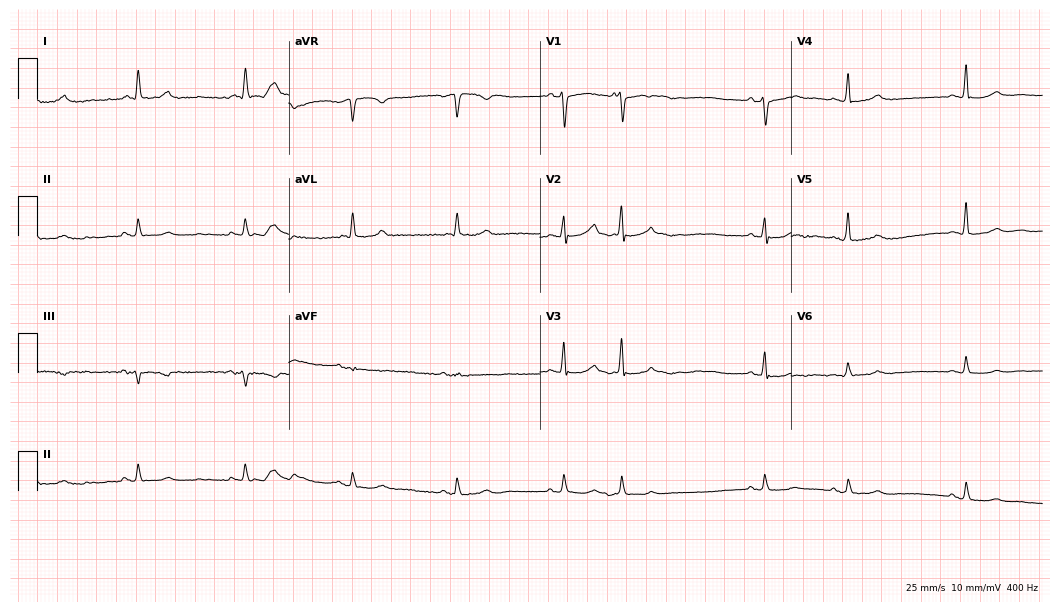
Electrocardiogram (10.2-second recording at 400 Hz), a male patient, 84 years old. Of the six screened findings (first-degree AV block, right bundle branch block, left bundle branch block, sinus bradycardia, atrial fibrillation, sinus tachycardia), none is recorded. Only these six findings were labelled.